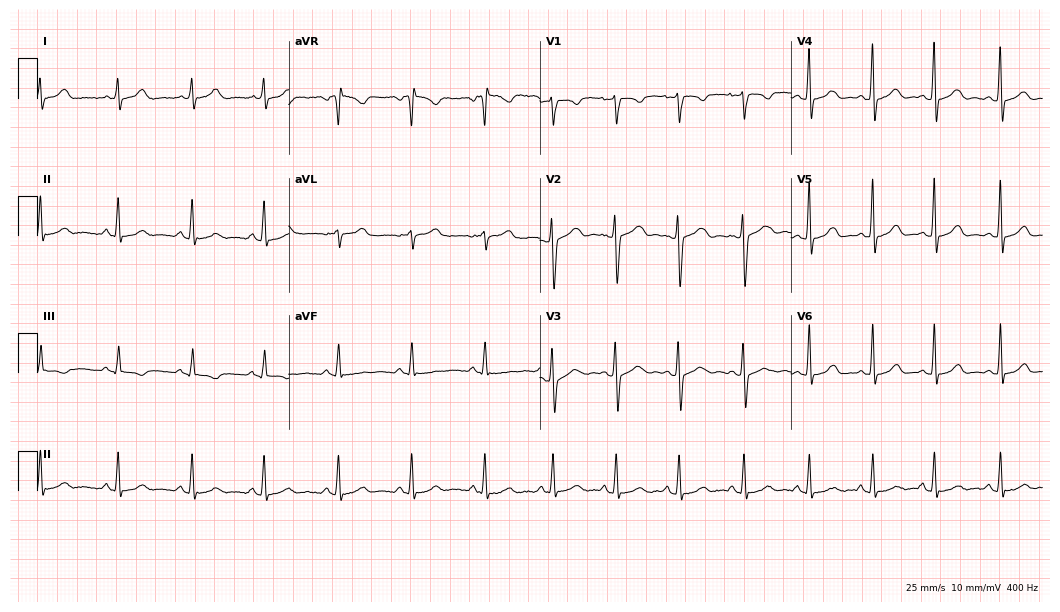
ECG (10.2-second recording at 400 Hz) — a female, 25 years old. Labelled as a normal ECG.